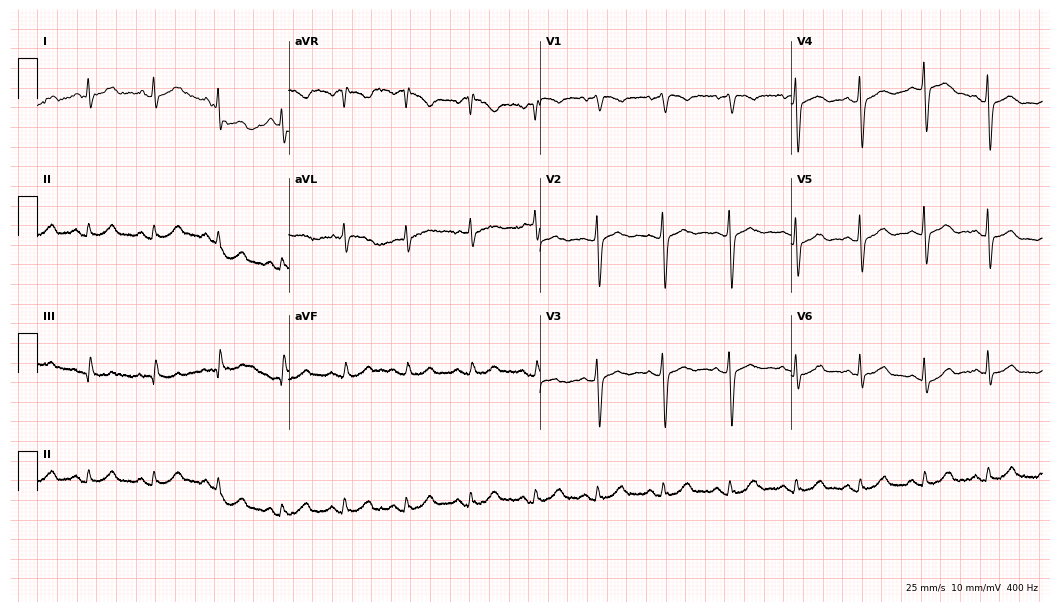
Standard 12-lead ECG recorded from a 69-year-old female patient. Read as a normal ECG.